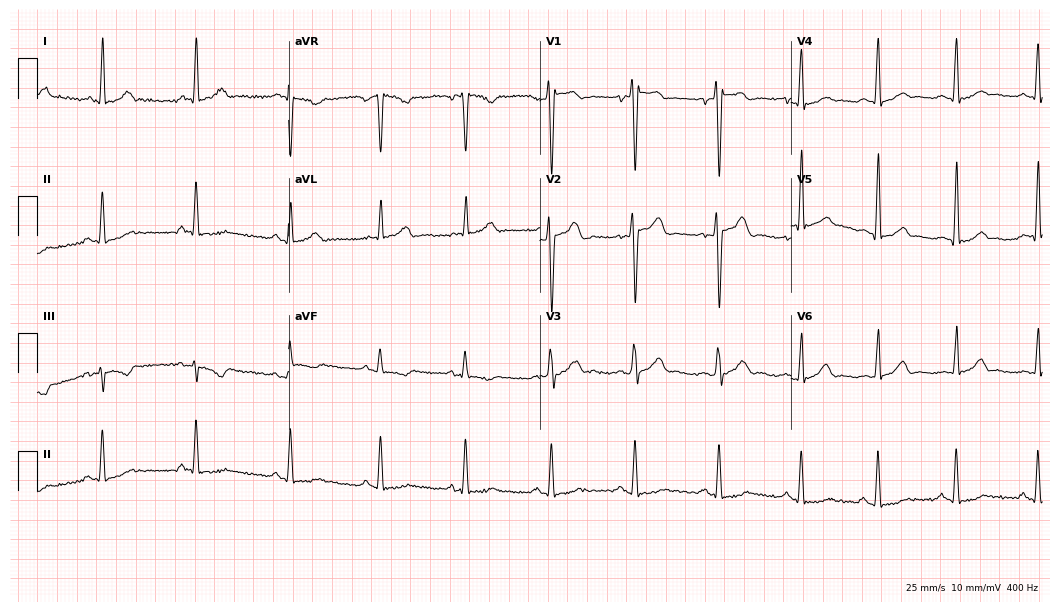
12-lead ECG from a 26-year-old male. Screened for six findings — first-degree AV block, right bundle branch block, left bundle branch block, sinus bradycardia, atrial fibrillation, sinus tachycardia — none is recorded. Findings outside these six are not listed.